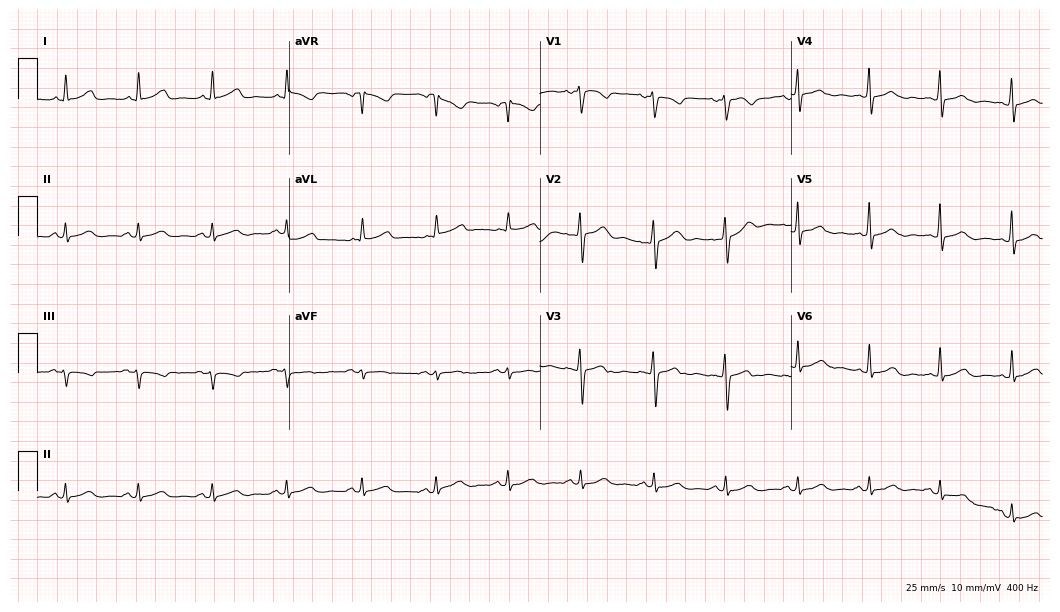
12-lead ECG from a woman, 37 years old. Labelled as a normal ECG.